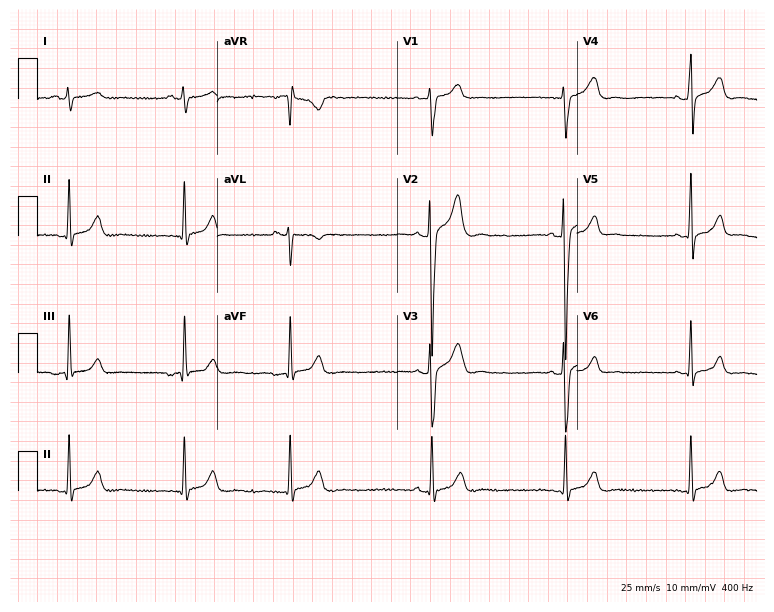
Resting 12-lead electrocardiogram. Patient: a 23-year-old man. The tracing shows sinus bradycardia (a sinus rate of 50 beats per minute or less).